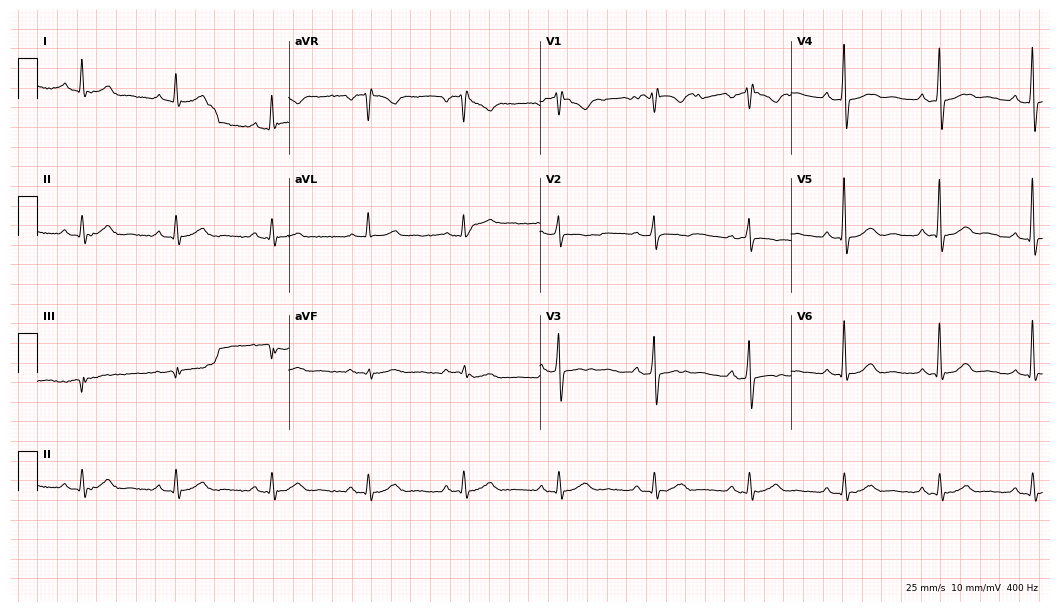
12-lead ECG (10.2-second recording at 400 Hz) from a man, 68 years old. Screened for six findings — first-degree AV block, right bundle branch block, left bundle branch block, sinus bradycardia, atrial fibrillation, sinus tachycardia — none is recorded. Only these six findings were labelled.